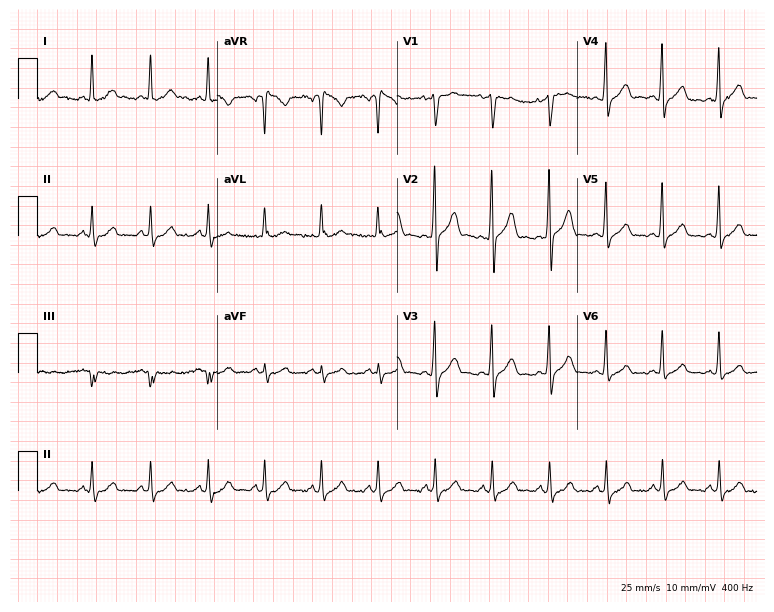
12-lead ECG from a 52-year-old female (7.3-second recording at 400 Hz). Shows sinus tachycardia (a sinus rate of 100 beats per minute or more).